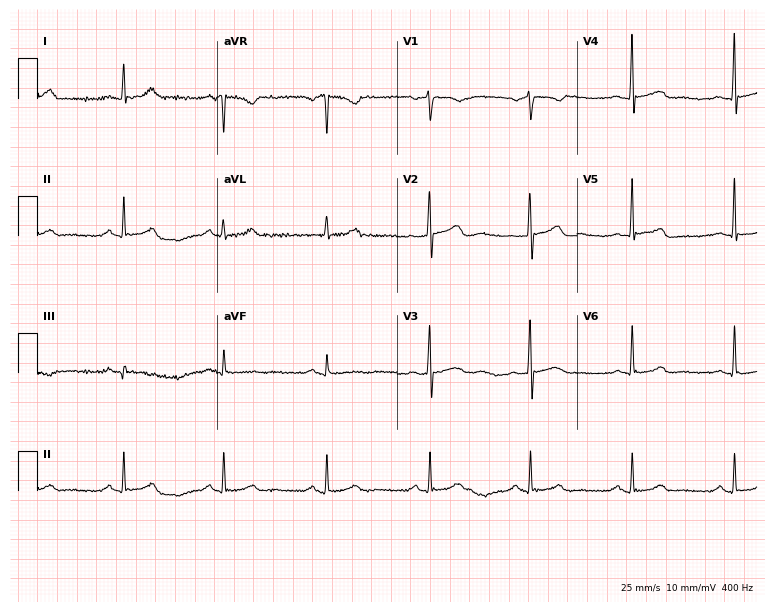
Standard 12-lead ECG recorded from a male, 62 years old (7.3-second recording at 400 Hz). None of these six findings is recorded: first-degree AV block, right bundle branch block (RBBB), left bundle branch block (LBBB), sinus bradycardia, atrial fibrillation (AF), sinus tachycardia.